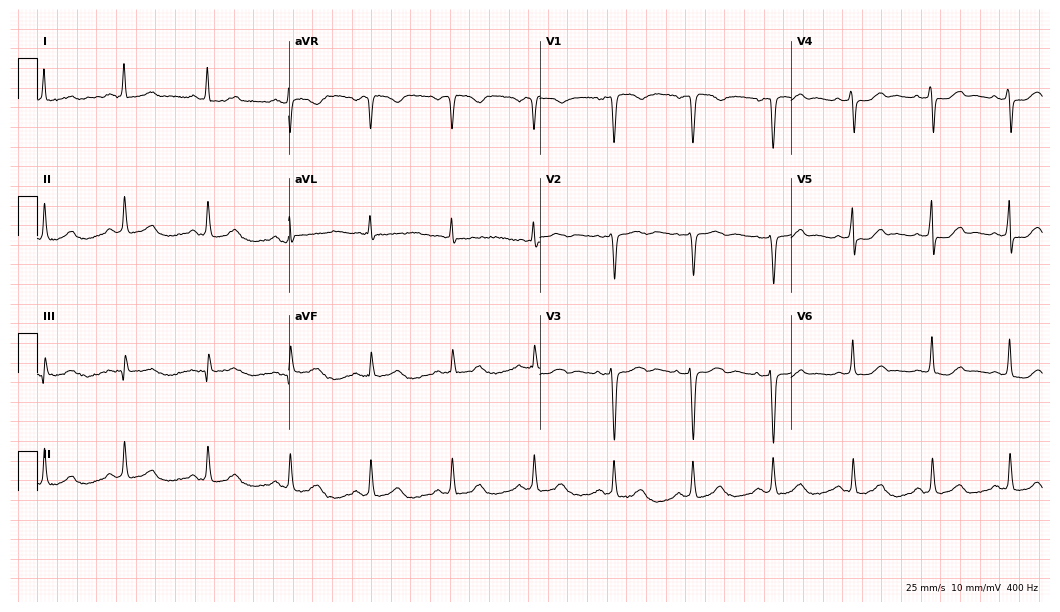
Standard 12-lead ECG recorded from a 42-year-old female (10.2-second recording at 400 Hz). None of these six findings is recorded: first-degree AV block, right bundle branch block (RBBB), left bundle branch block (LBBB), sinus bradycardia, atrial fibrillation (AF), sinus tachycardia.